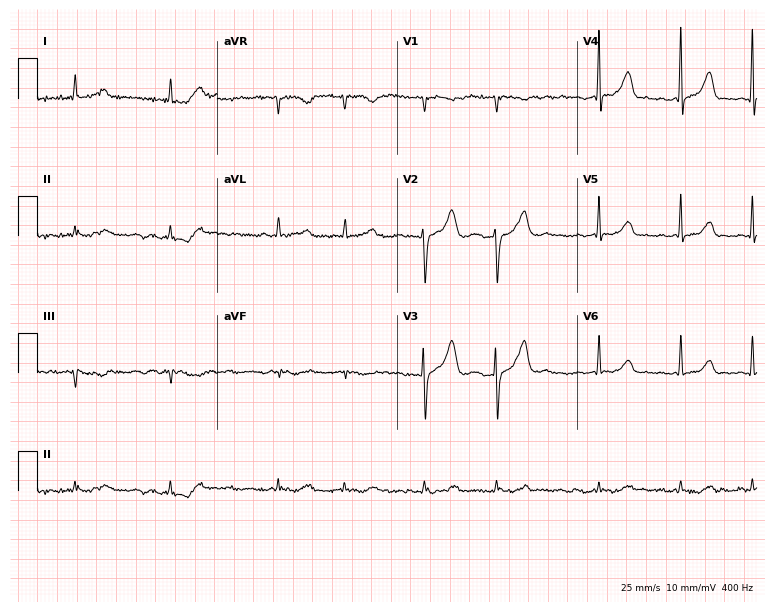
Resting 12-lead electrocardiogram (7.3-second recording at 400 Hz). Patient: an 83-year-old female. The tracing shows atrial fibrillation.